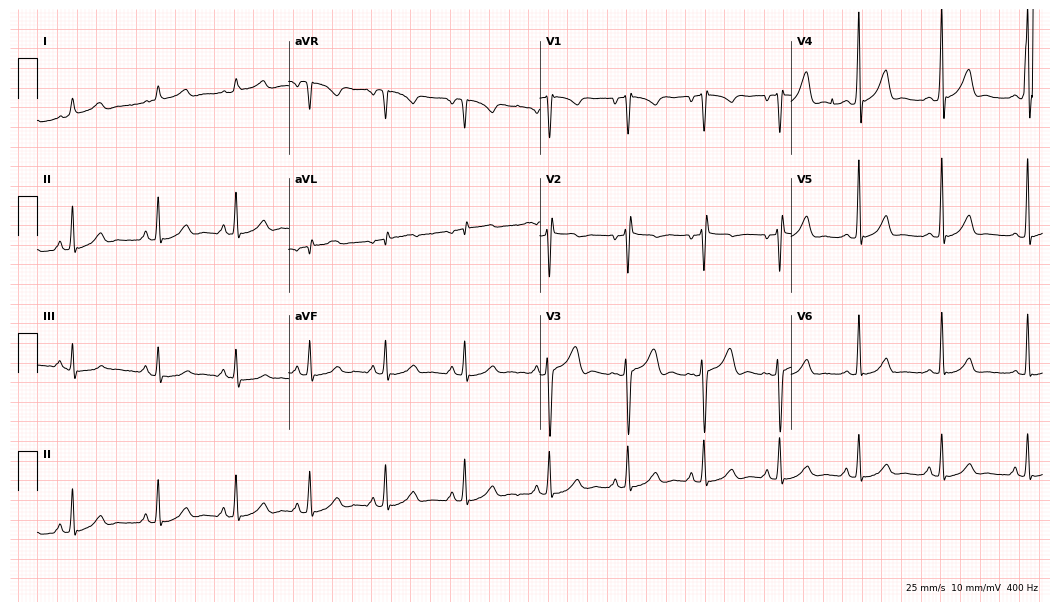
Standard 12-lead ECG recorded from an 18-year-old man (10.2-second recording at 400 Hz). None of these six findings is recorded: first-degree AV block, right bundle branch block (RBBB), left bundle branch block (LBBB), sinus bradycardia, atrial fibrillation (AF), sinus tachycardia.